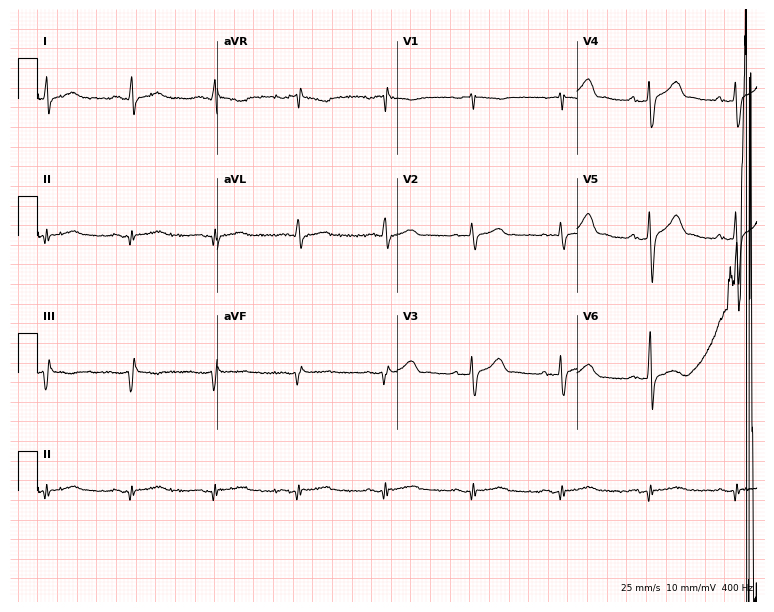
ECG (7.3-second recording at 400 Hz) — a 48-year-old male. Screened for six findings — first-degree AV block, right bundle branch block, left bundle branch block, sinus bradycardia, atrial fibrillation, sinus tachycardia — none is recorded.